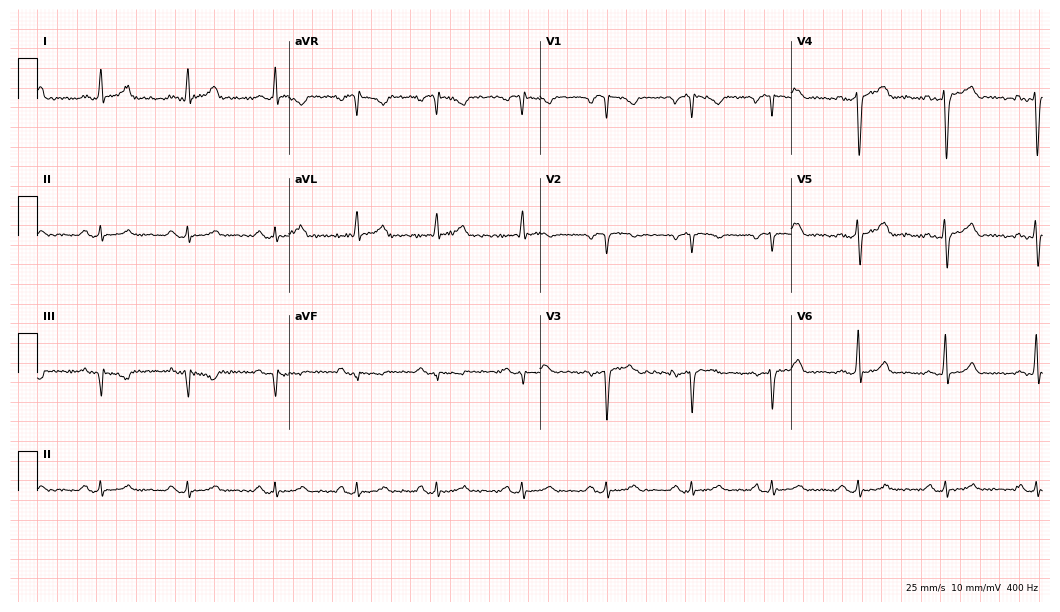
Standard 12-lead ECG recorded from a male, 48 years old. None of these six findings is recorded: first-degree AV block, right bundle branch block, left bundle branch block, sinus bradycardia, atrial fibrillation, sinus tachycardia. Only these six findings were labelled.